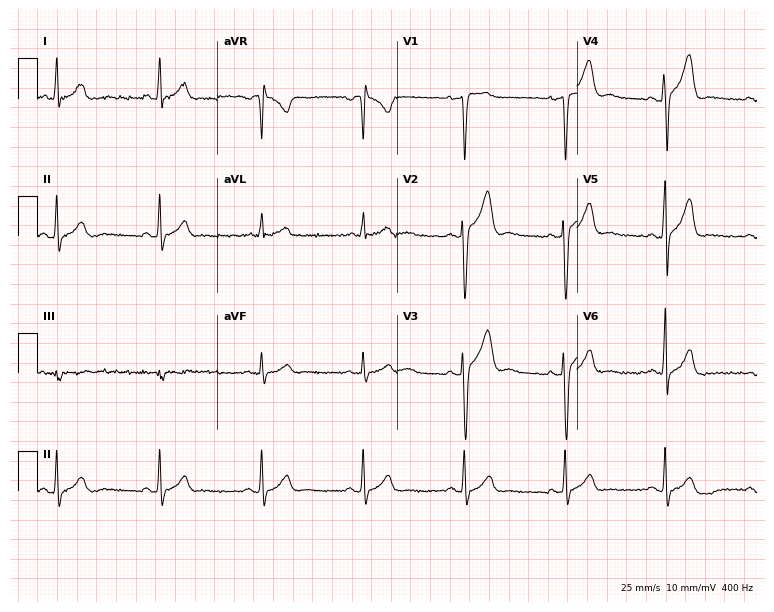
12-lead ECG from a male patient, 26 years old. Recorded interpretation: within normal limits.